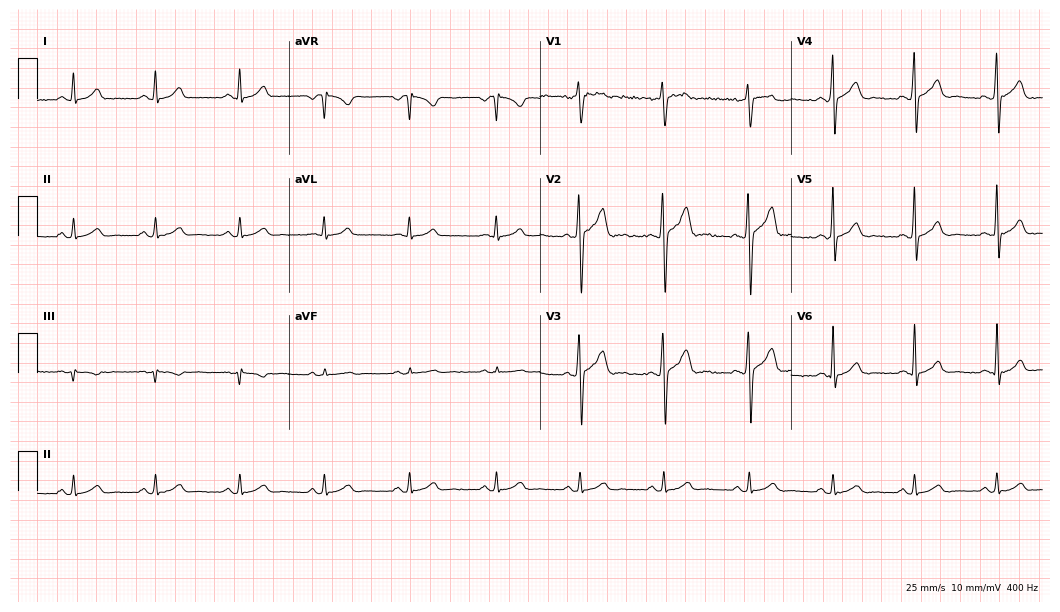
ECG (10.2-second recording at 400 Hz) — a 22-year-old male patient. Screened for six findings — first-degree AV block, right bundle branch block, left bundle branch block, sinus bradycardia, atrial fibrillation, sinus tachycardia — none is recorded.